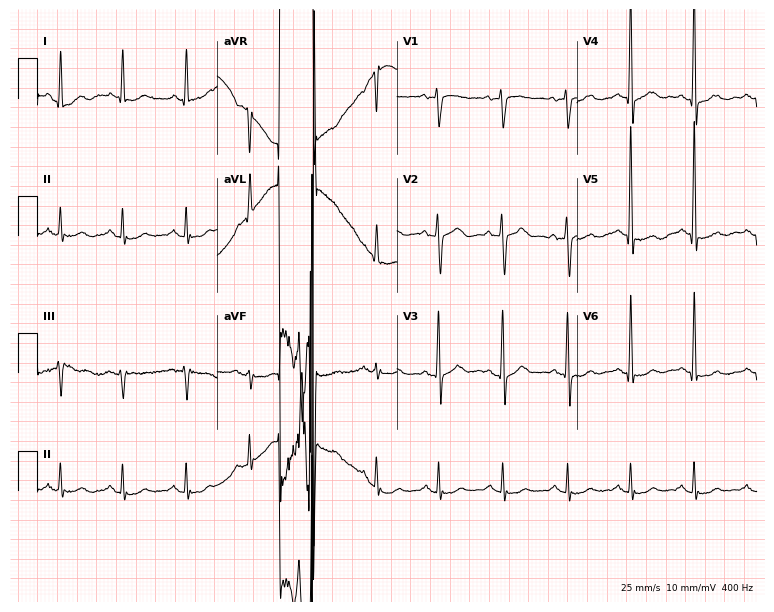
12-lead ECG from a male, 70 years old. No first-degree AV block, right bundle branch block, left bundle branch block, sinus bradycardia, atrial fibrillation or sinus tachycardia recorded for this tracing. Findings outside these six are not listed.